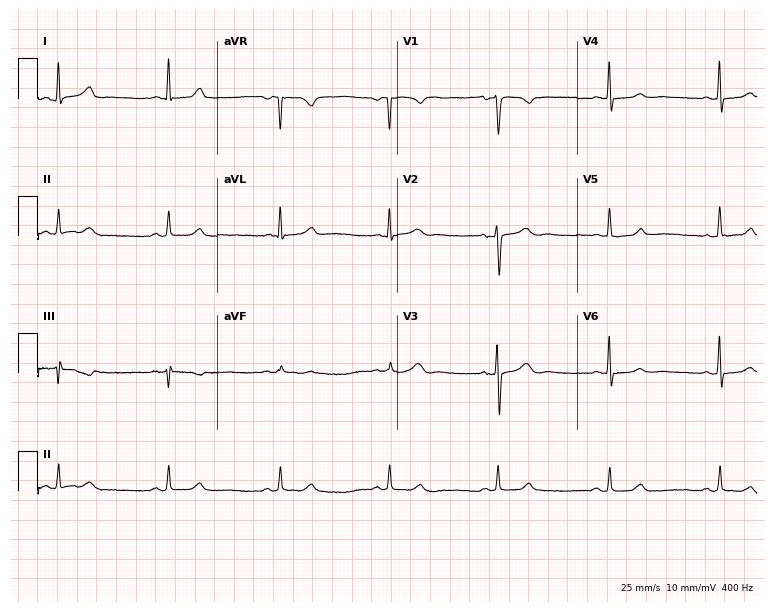
12-lead ECG (7.3-second recording at 400 Hz) from a 46-year-old woman. Labelled as a normal ECG.